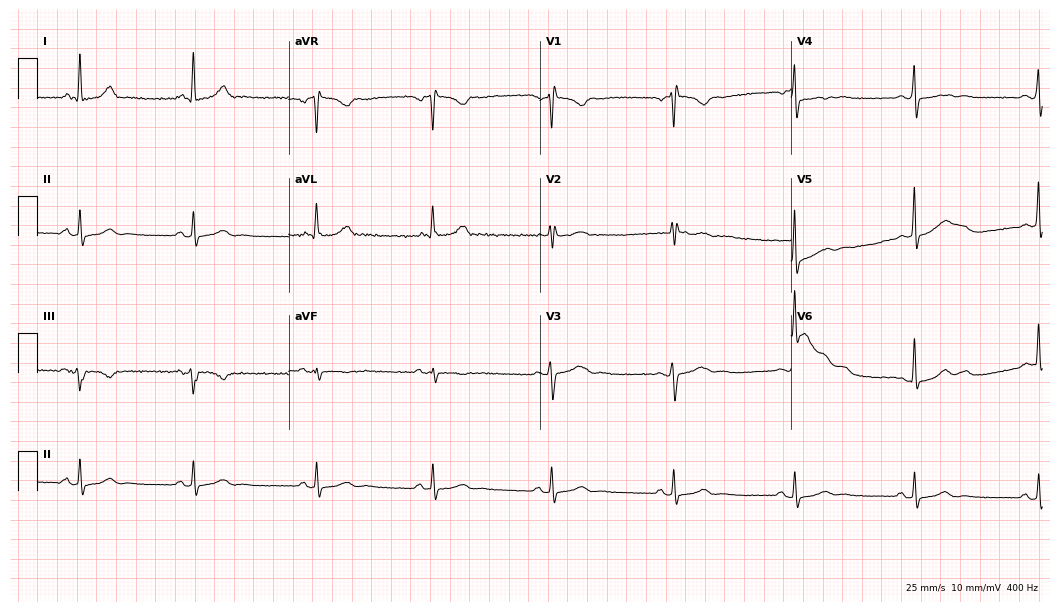
Standard 12-lead ECG recorded from a 60-year-old woman. None of these six findings is recorded: first-degree AV block, right bundle branch block (RBBB), left bundle branch block (LBBB), sinus bradycardia, atrial fibrillation (AF), sinus tachycardia.